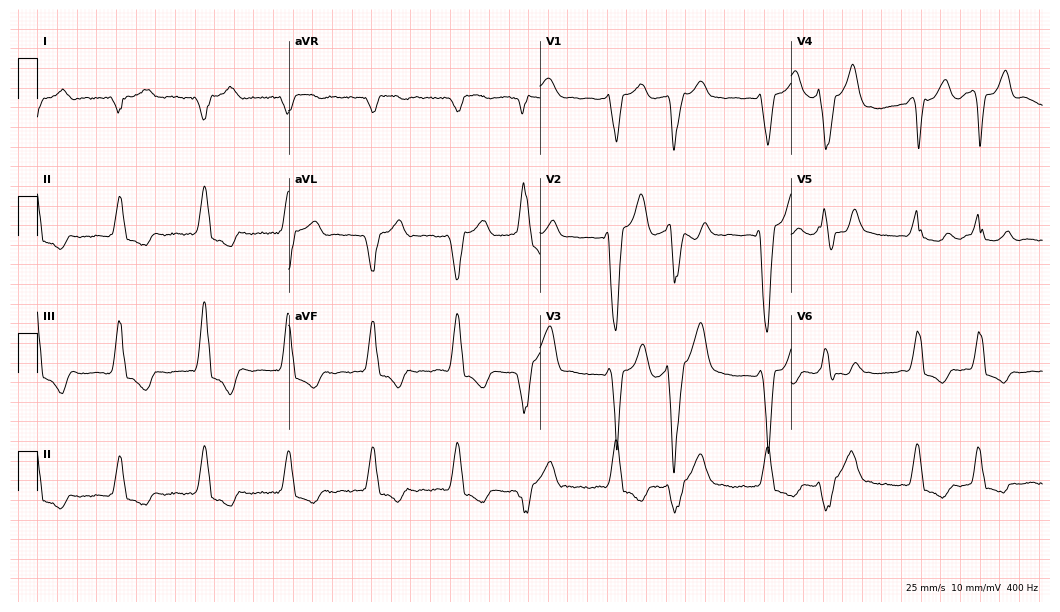
ECG (10.2-second recording at 400 Hz) — a 73-year-old woman. Screened for six findings — first-degree AV block, right bundle branch block (RBBB), left bundle branch block (LBBB), sinus bradycardia, atrial fibrillation (AF), sinus tachycardia — none is recorded.